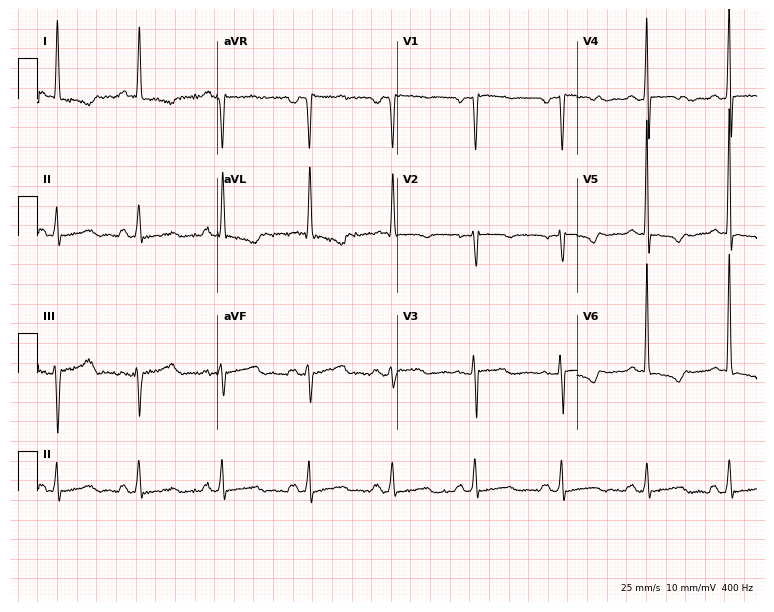
Standard 12-lead ECG recorded from a woman, 44 years old. None of these six findings is recorded: first-degree AV block, right bundle branch block, left bundle branch block, sinus bradycardia, atrial fibrillation, sinus tachycardia.